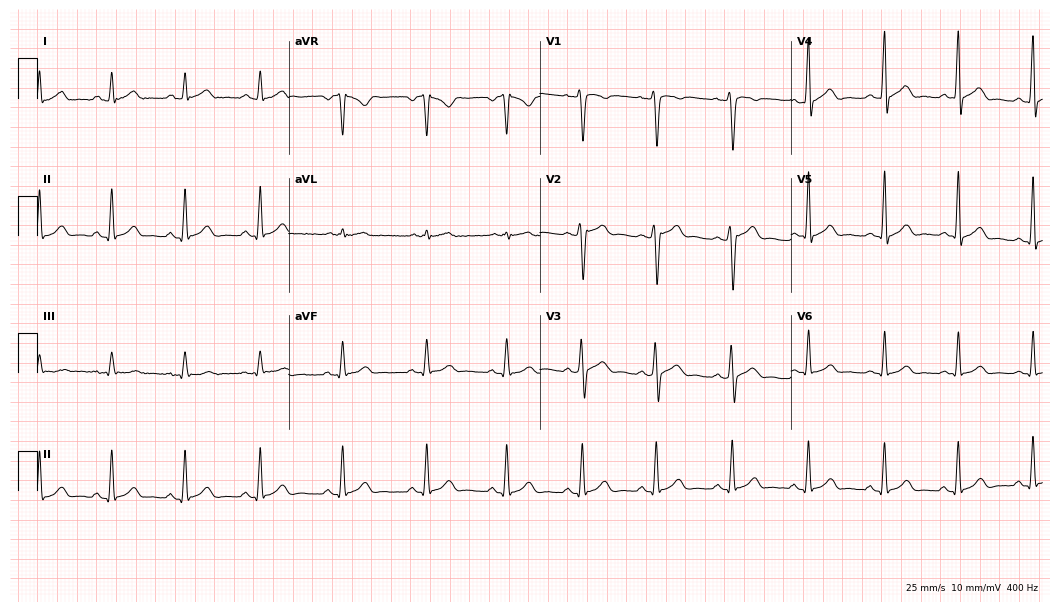
Standard 12-lead ECG recorded from a man, 26 years old. Read as a normal ECG.